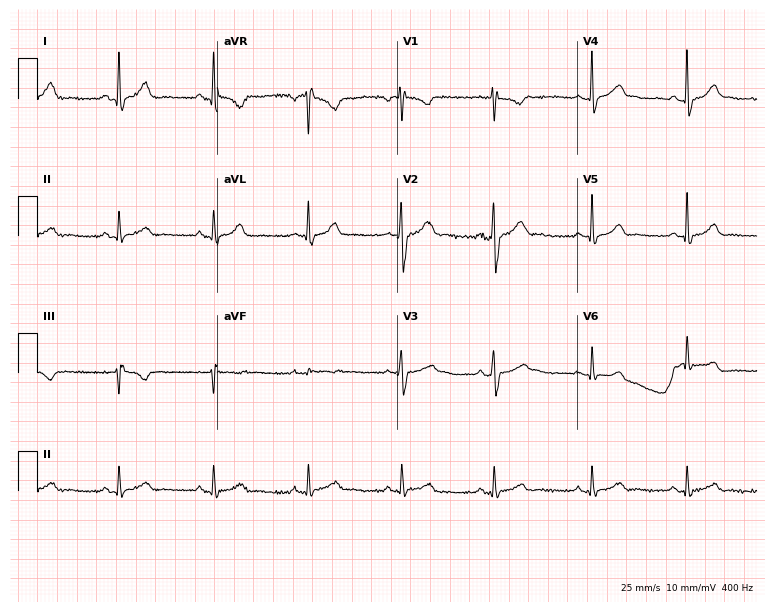
Electrocardiogram, a female, 33 years old. Of the six screened findings (first-degree AV block, right bundle branch block, left bundle branch block, sinus bradycardia, atrial fibrillation, sinus tachycardia), none is recorded.